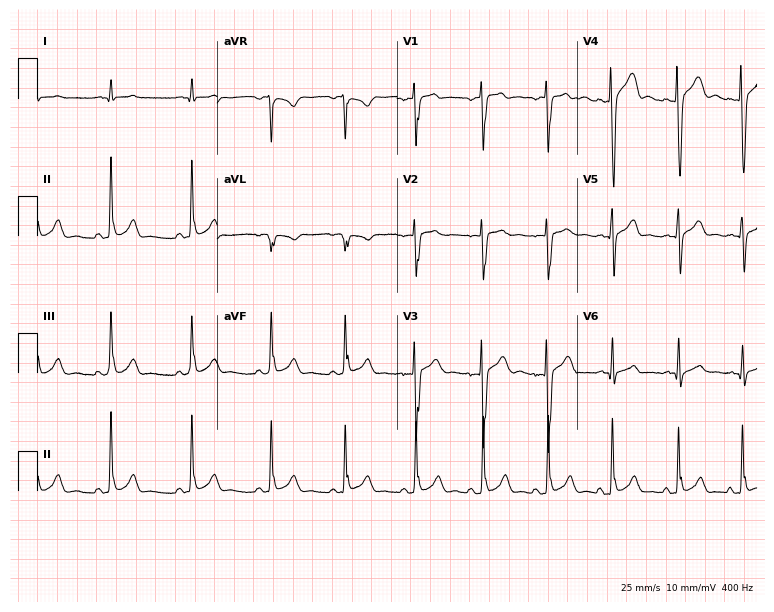
Standard 12-lead ECG recorded from a 20-year-old male. Read as a normal ECG.